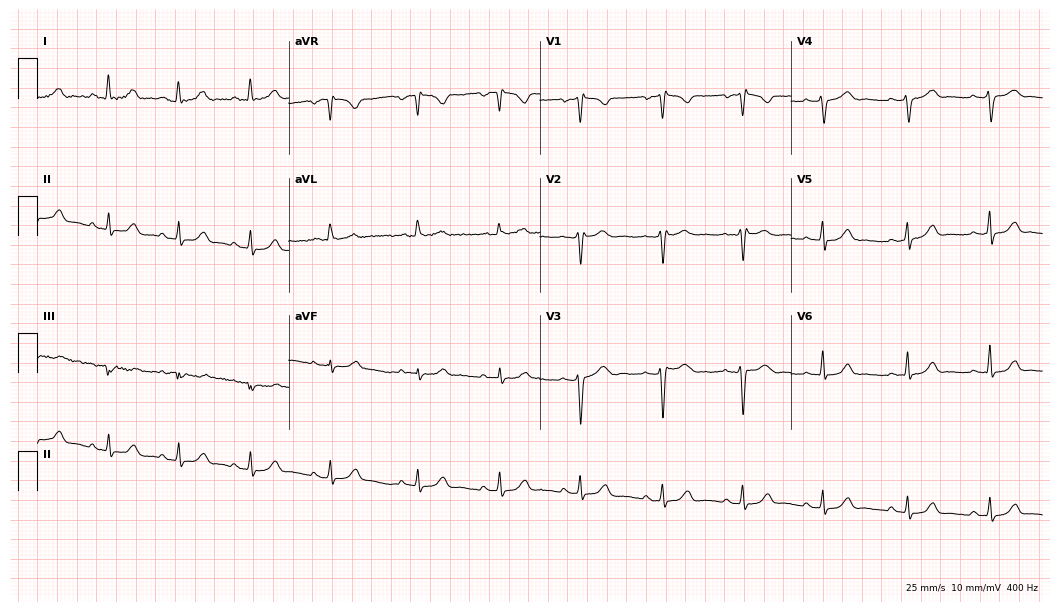
Resting 12-lead electrocardiogram. Patient: a woman, 35 years old. Read as a normal ECG.